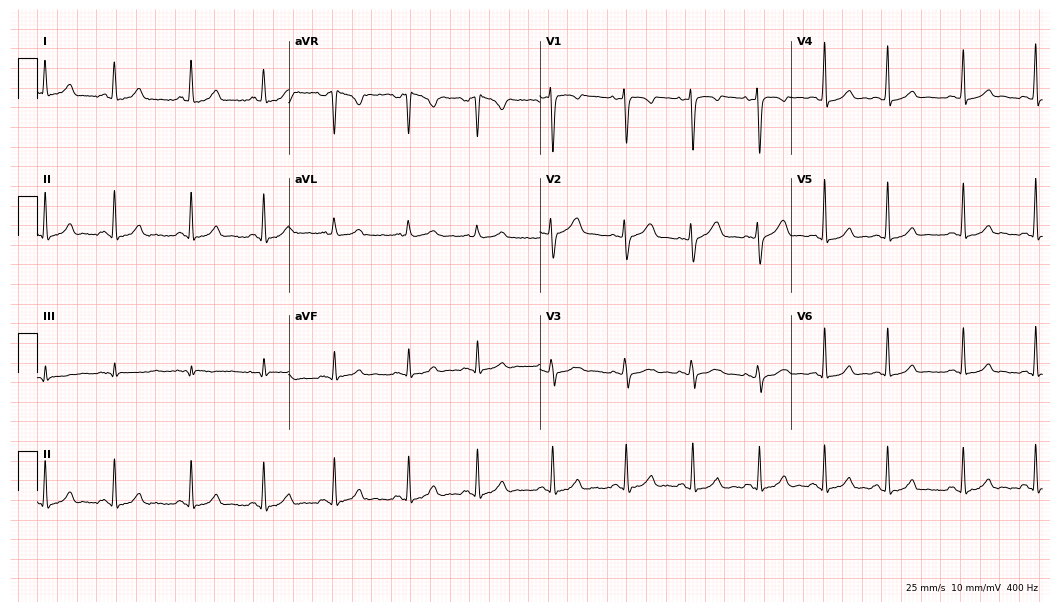
12-lead ECG from a 25-year-old woman. Recorded interpretation: within normal limits.